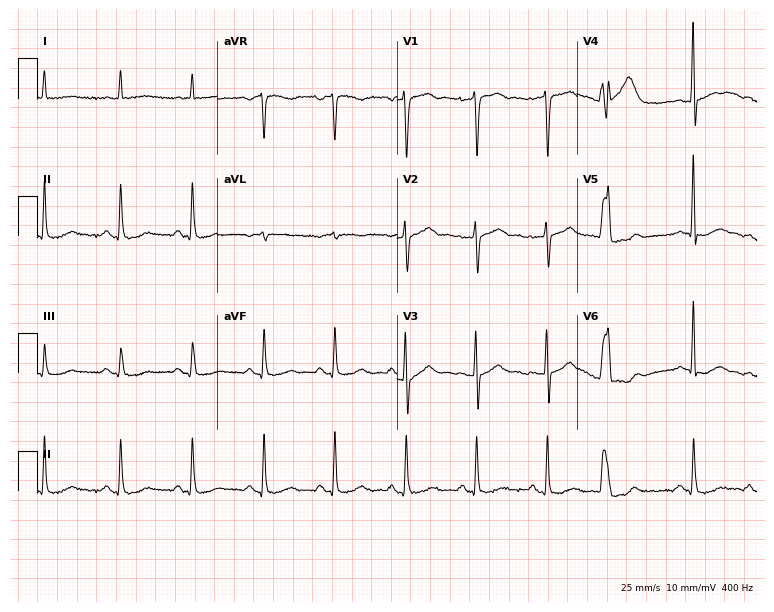
Resting 12-lead electrocardiogram. Patient: a 67-year-old male. None of these six findings is recorded: first-degree AV block, right bundle branch block, left bundle branch block, sinus bradycardia, atrial fibrillation, sinus tachycardia. Only these six findings were labelled.